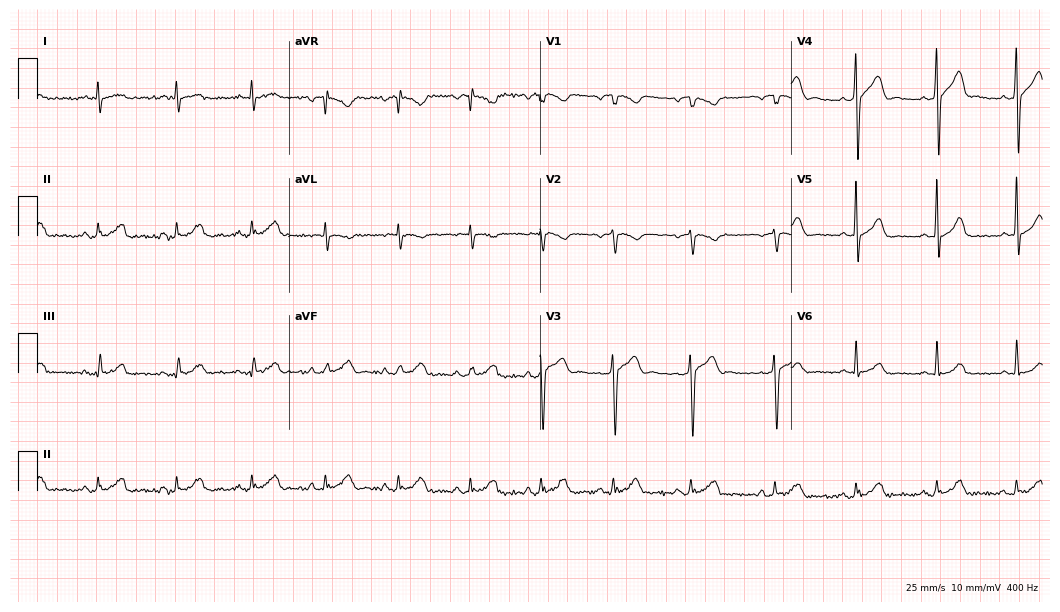
12-lead ECG from a 34-year-old male patient. Labelled as a normal ECG.